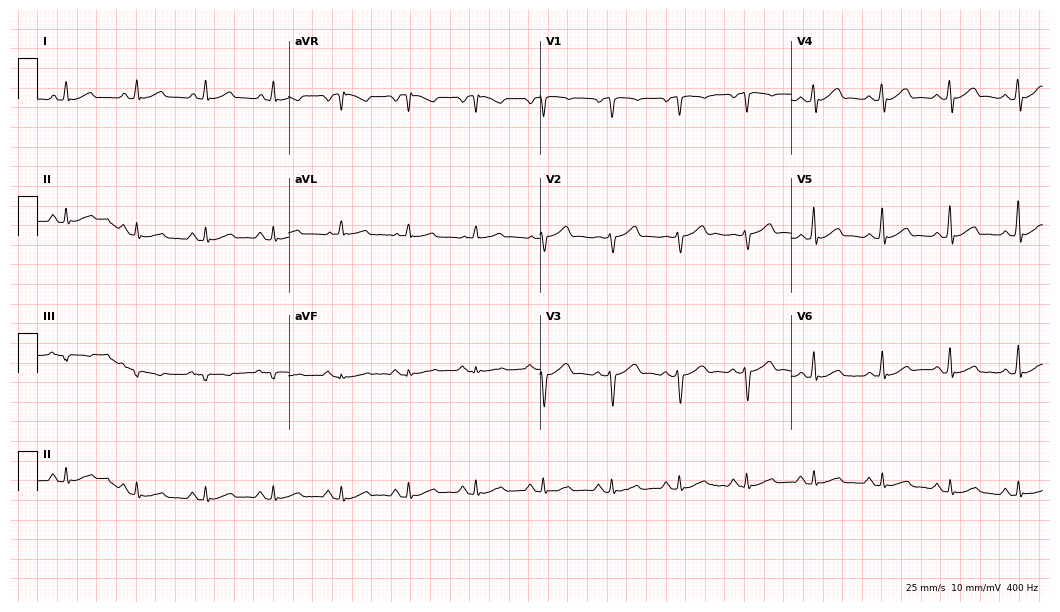
12-lead ECG from a 59-year-old man. Screened for six findings — first-degree AV block, right bundle branch block, left bundle branch block, sinus bradycardia, atrial fibrillation, sinus tachycardia — none is recorded. Other findings, if any, are not listed.